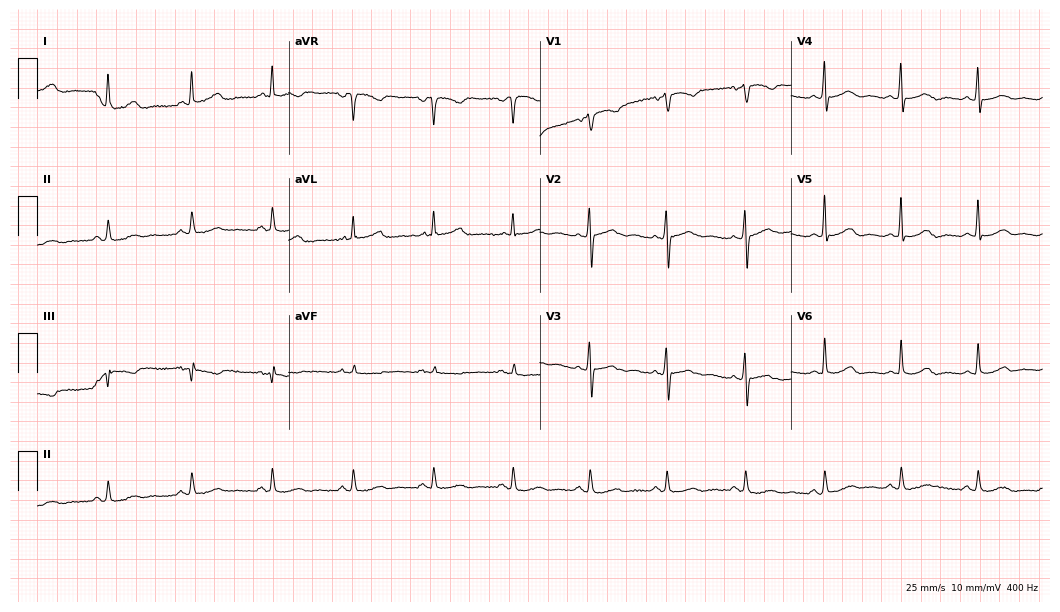
Resting 12-lead electrocardiogram (10.2-second recording at 400 Hz). Patient: an 81-year-old woman. Read as a normal ECG.